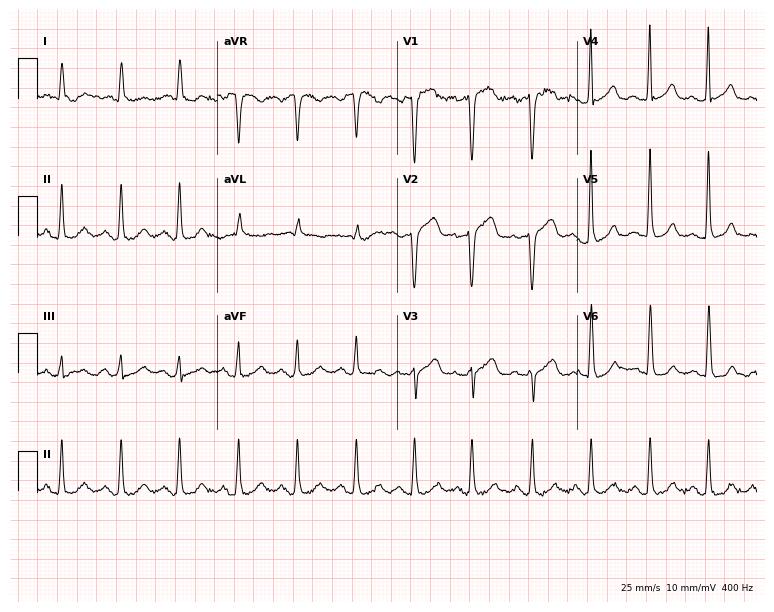
Resting 12-lead electrocardiogram. Patient: a female, 81 years old. None of these six findings is recorded: first-degree AV block, right bundle branch block, left bundle branch block, sinus bradycardia, atrial fibrillation, sinus tachycardia.